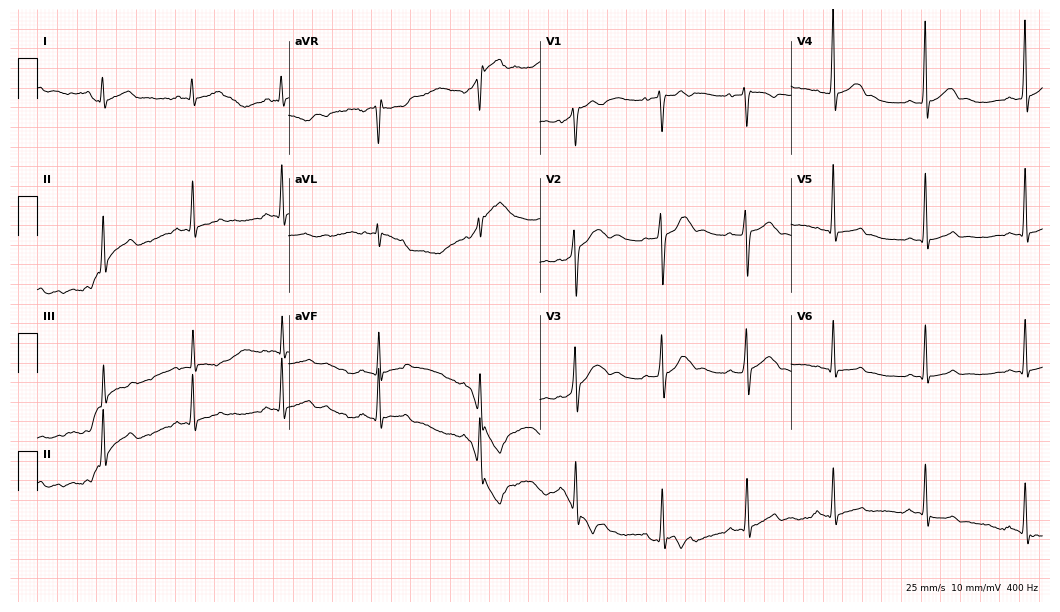
12-lead ECG from a 24-year-old male patient (10.2-second recording at 400 Hz). Recorded interpretation: within normal limits.